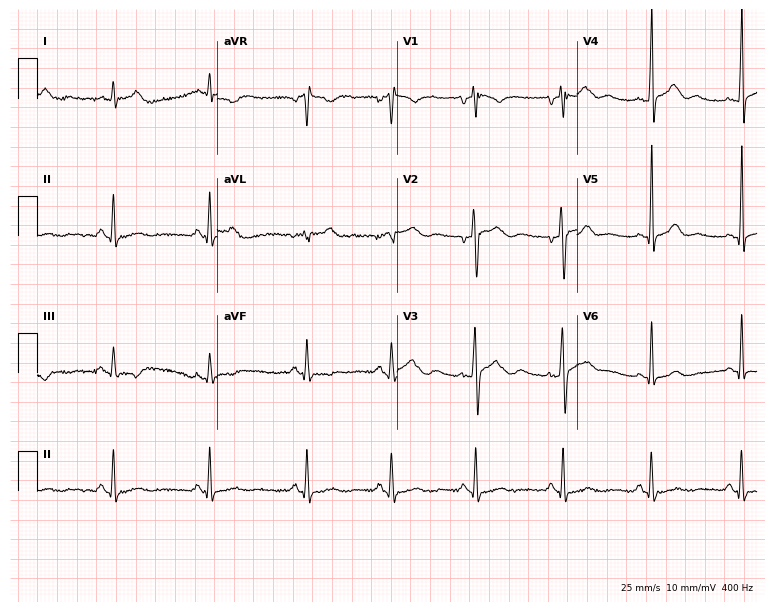
12-lead ECG from a 32-year-old male. Recorded interpretation: within normal limits.